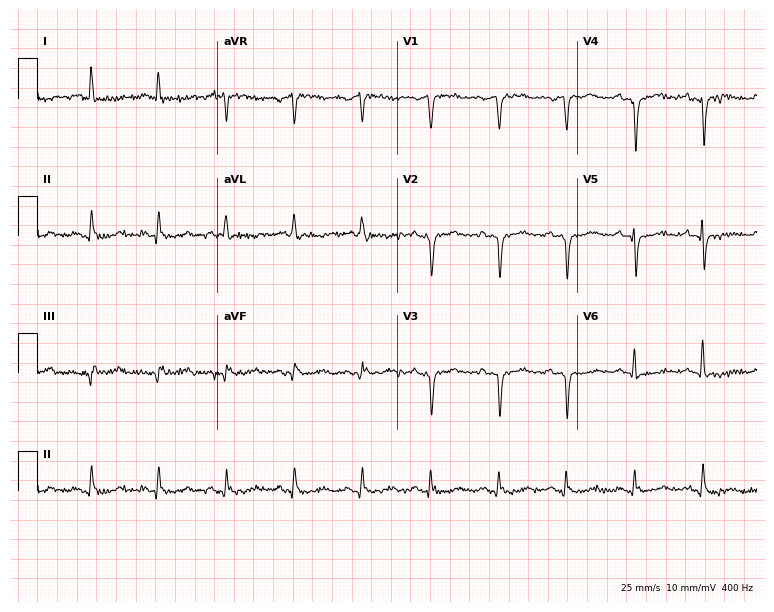
12-lead ECG (7.3-second recording at 400 Hz) from a female, 76 years old. Screened for six findings — first-degree AV block, right bundle branch block, left bundle branch block, sinus bradycardia, atrial fibrillation, sinus tachycardia — none is recorded.